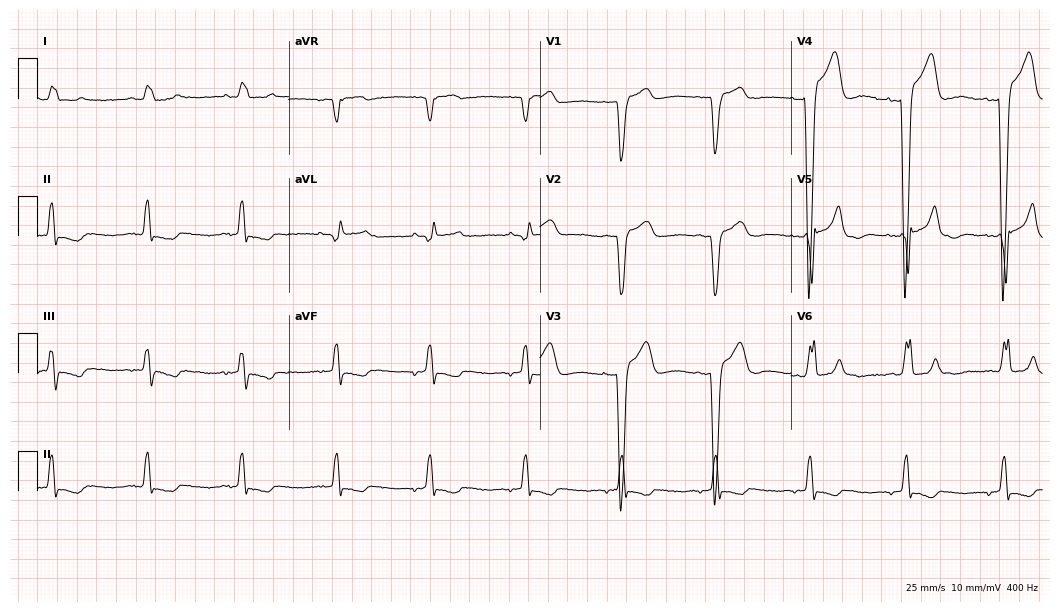
Resting 12-lead electrocardiogram (10.2-second recording at 400 Hz). Patient: a man, 84 years old. The tracing shows left bundle branch block (LBBB).